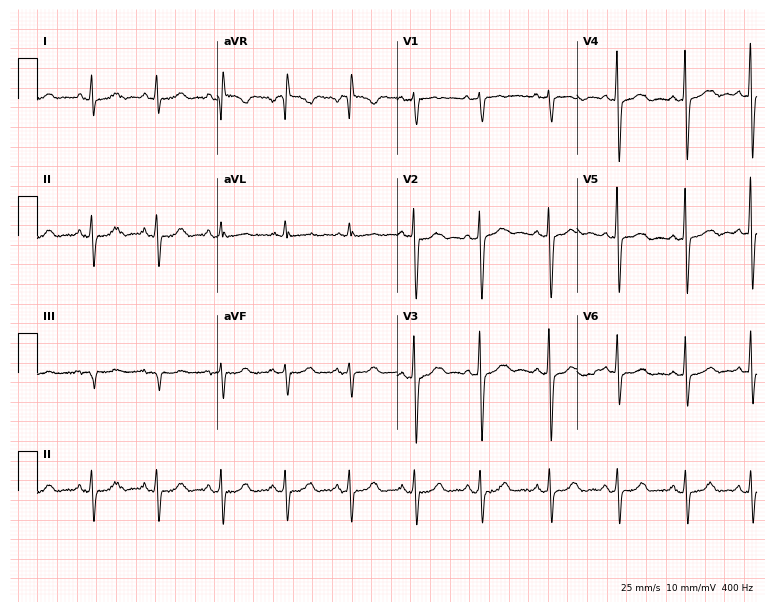
Standard 12-lead ECG recorded from a 62-year-old female (7.3-second recording at 400 Hz). None of these six findings is recorded: first-degree AV block, right bundle branch block (RBBB), left bundle branch block (LBBB), sinus bradycardia, atrial fibrillation (AF), sinus tachycardia. Only these six findings were labelled.